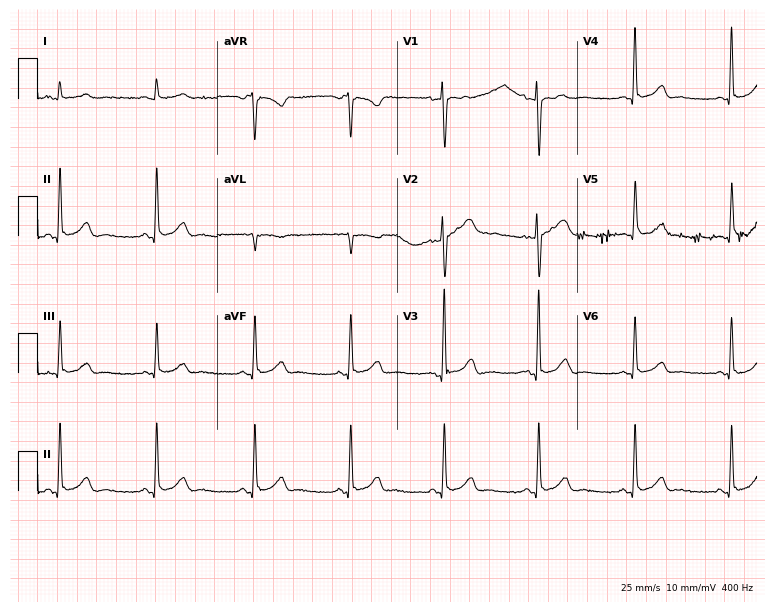
ECG (7.3-second recording at 400 Hz) — a woman, 54 years old. Labelled as a normal ECG.